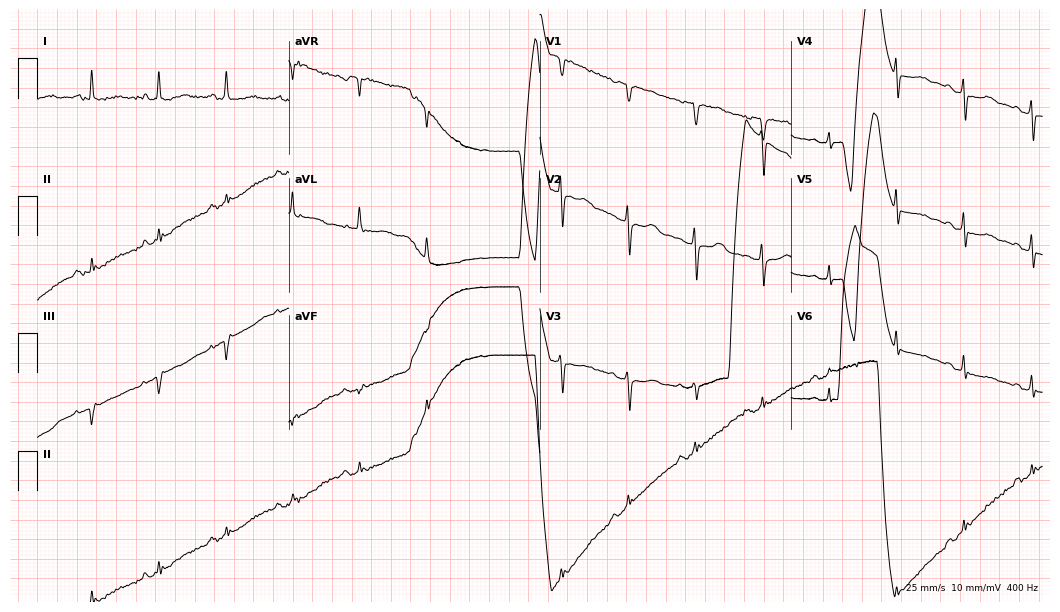
12-lead ECG (10.2-second recording at 400 Hz) from a 70-year-old female patient. Screened for six findings — first-degree AV block, right bundle branch block, left bundle branch block, sinus bradycardia, atrial fibrillation, sinus tachycardia — none is recorded.